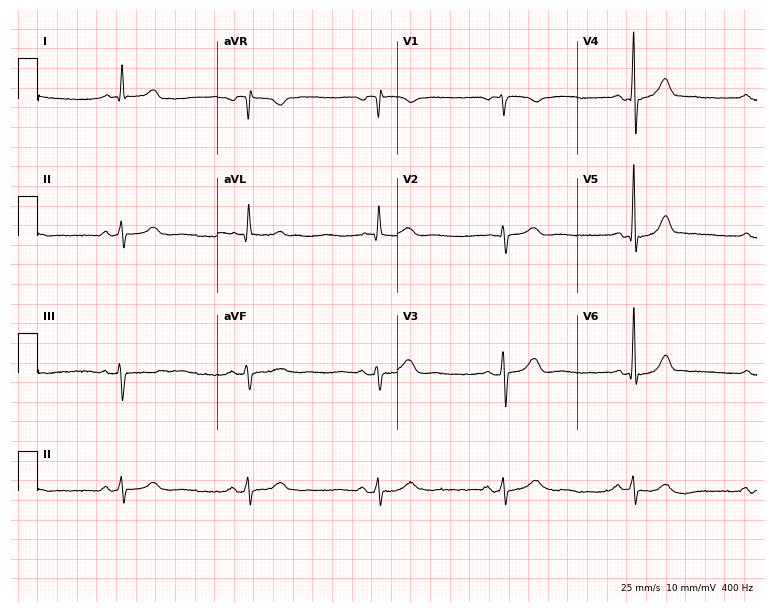
Resting 12-lead electrocardiogram (7.3-second recording at 400 Hz). Patient: a 71-year-old male. The tracing shows sinus bradycardia (a sinus rate of 50 beats per minute or less).